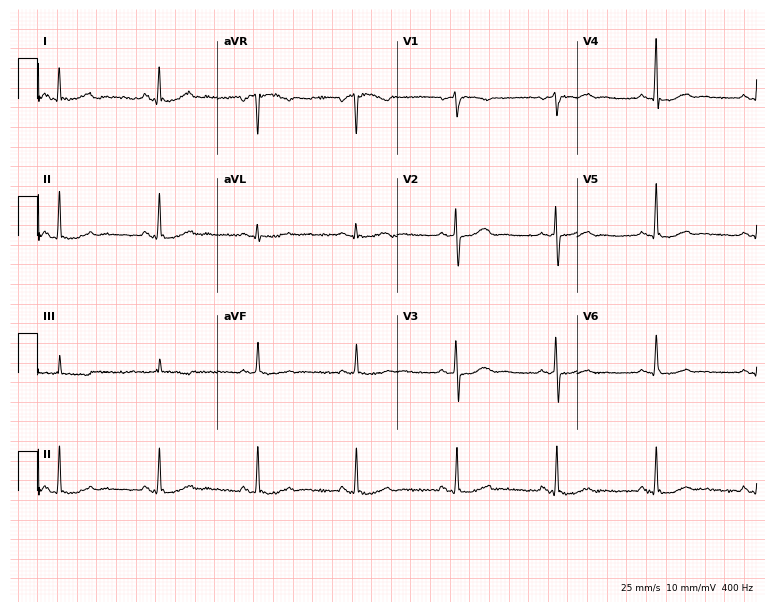
Resting 12-lead electrocardiogram (7.3-second recording at 400 Hz). Patient: a 67-year-old female. None of these six findings is recorded: first-degree AV block, right bundle branch block, left bundle branch block, sinus bradycardia, atrial fibrillation, sinus tachycardia.